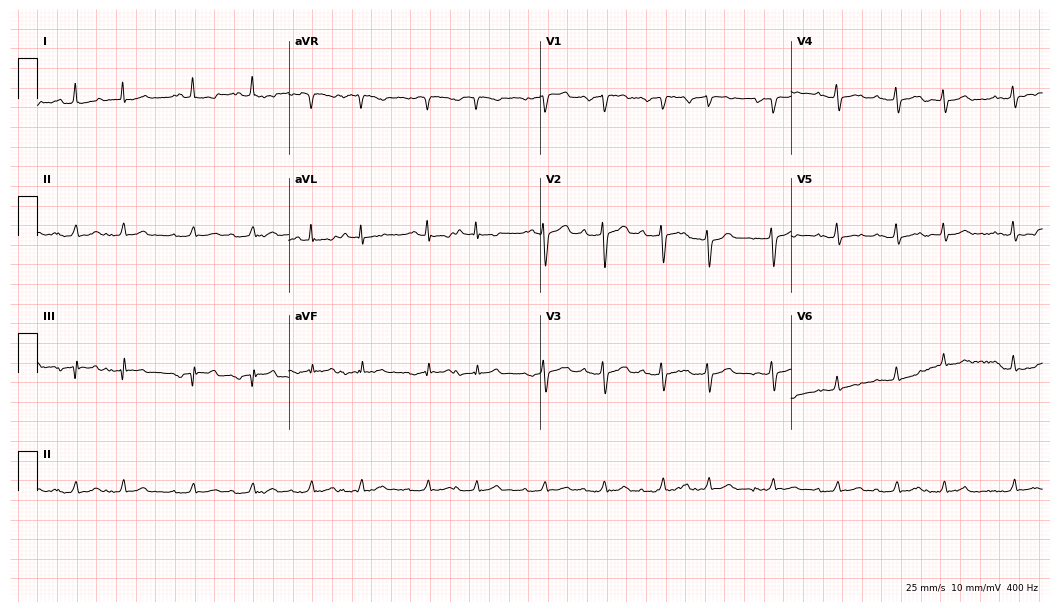
Electrocardiogram, an 84-year-old male patient. Of the six screened findings (first-degree AV block, right bundle branch block (RBBB), left bundle branch block (LBBB), sinus bradycardia, atrial fibrillation (AF), sinus tachycardia), none is recorded.